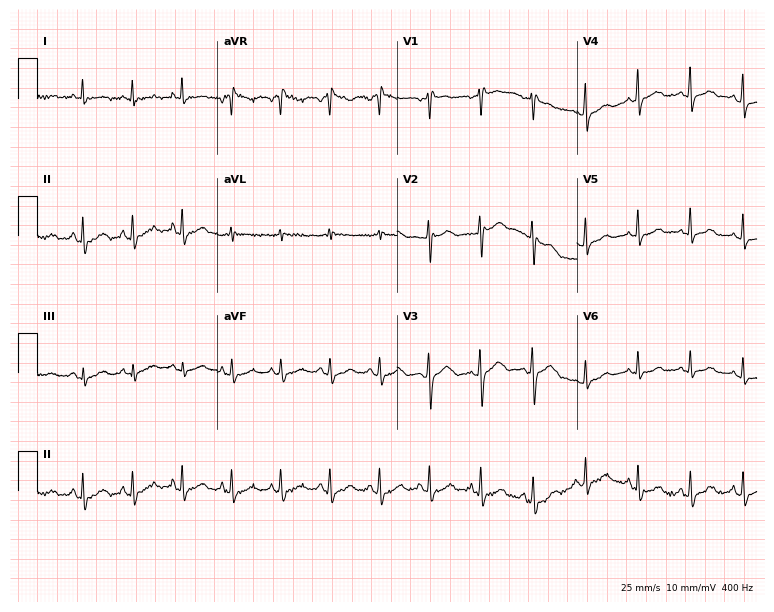
12-lead ECG from a female patient, 42 years old. Findings include sinus tachycardia (a sinus rate of 100 beats per minute or more).